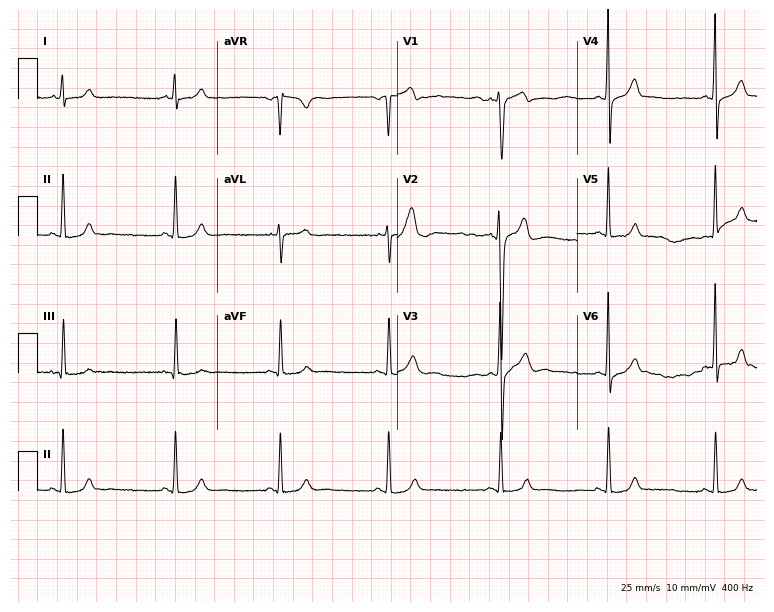
Electrocardiogram, a male, 18 years old. Overall reading on record: normal ECG.